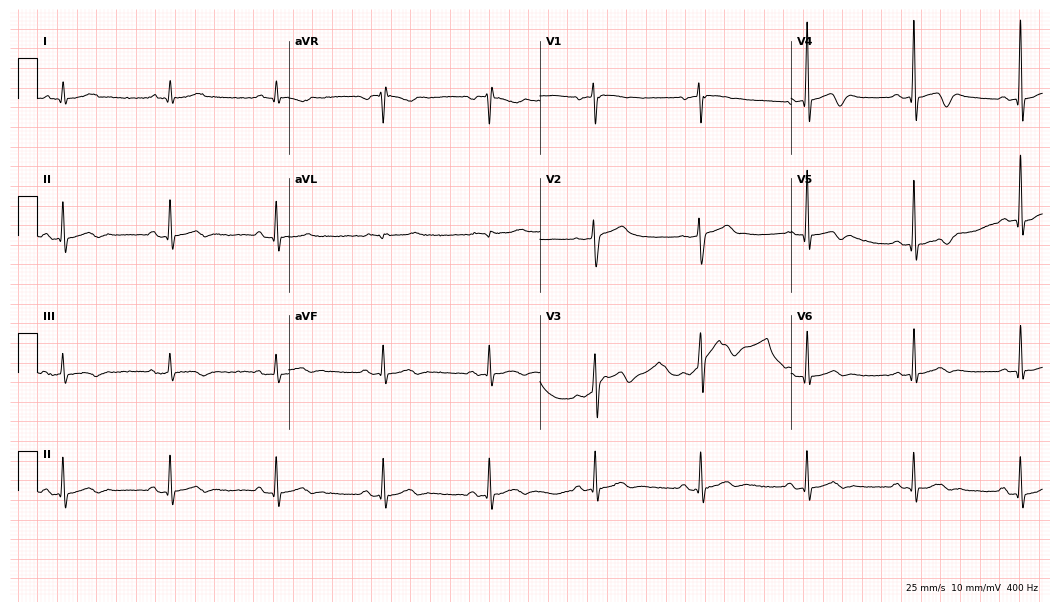
12-lead ECG from an 81-year-old male. Screened for six findings — first-degree AV block, right bundle branch block, left bundle branch block, sinus bradycardia, atrial fibrillation, sinus tachycardia — none is recorded.